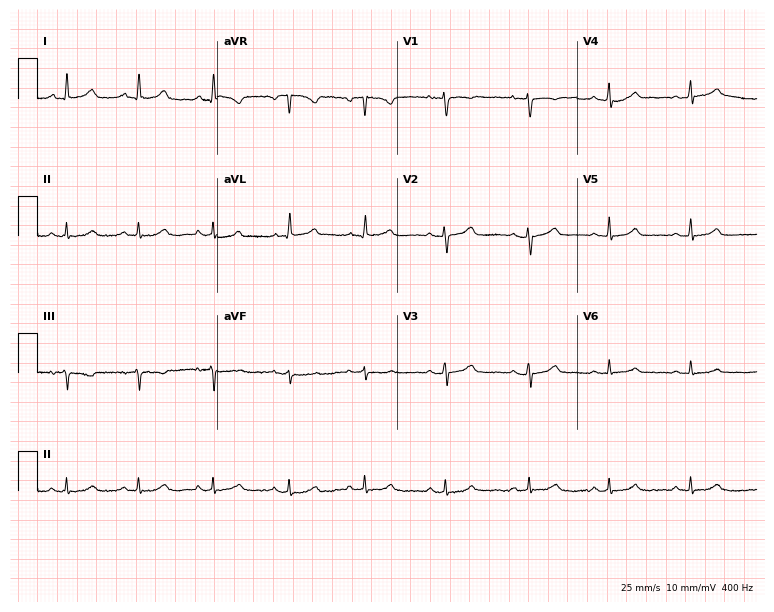
12-lead ECG from a 38-year-old female patient. No first-degree AV block, right bundle branch block, left bundle branch block, sinus bradycardia, atrial fibrillation or sinus tachycardia recorded for this tracing.